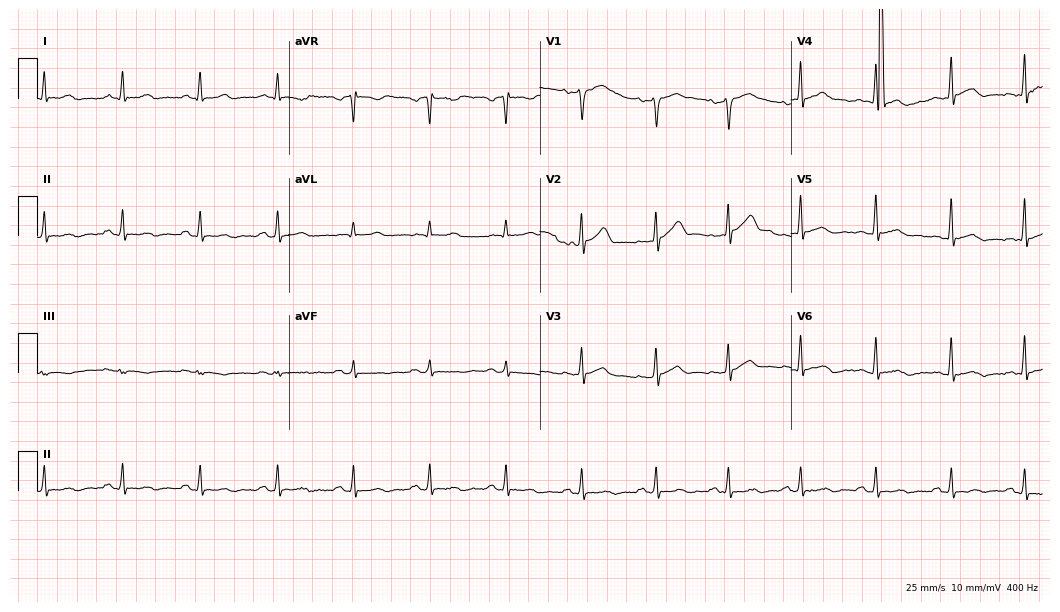
12-lead ECG from a 55-year-old male. No first-degree AV block, right bundle branch block, left bundle branch block, sinus bradycardia, atrial fibrillation or sinus tachycardia recorded for this tracing.